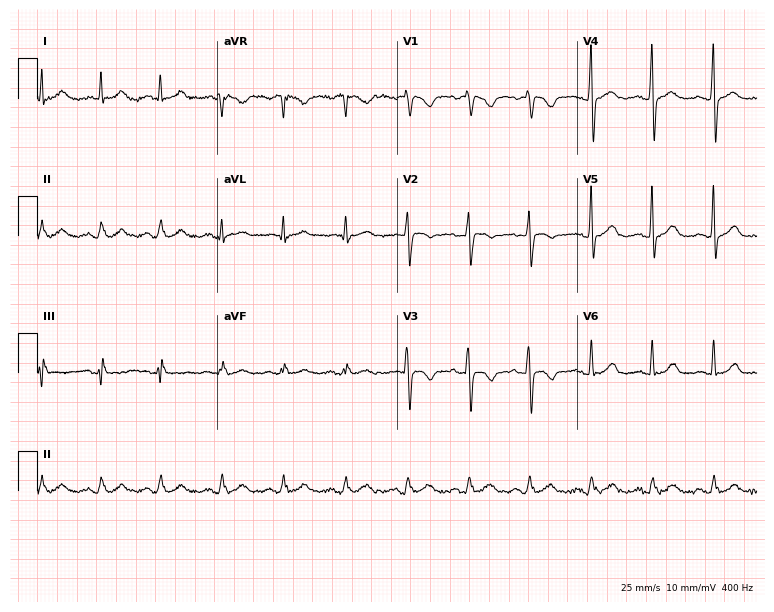
Standard 12-lead ECG recorded from a 50-year-old woman. Read as a normal ECG.